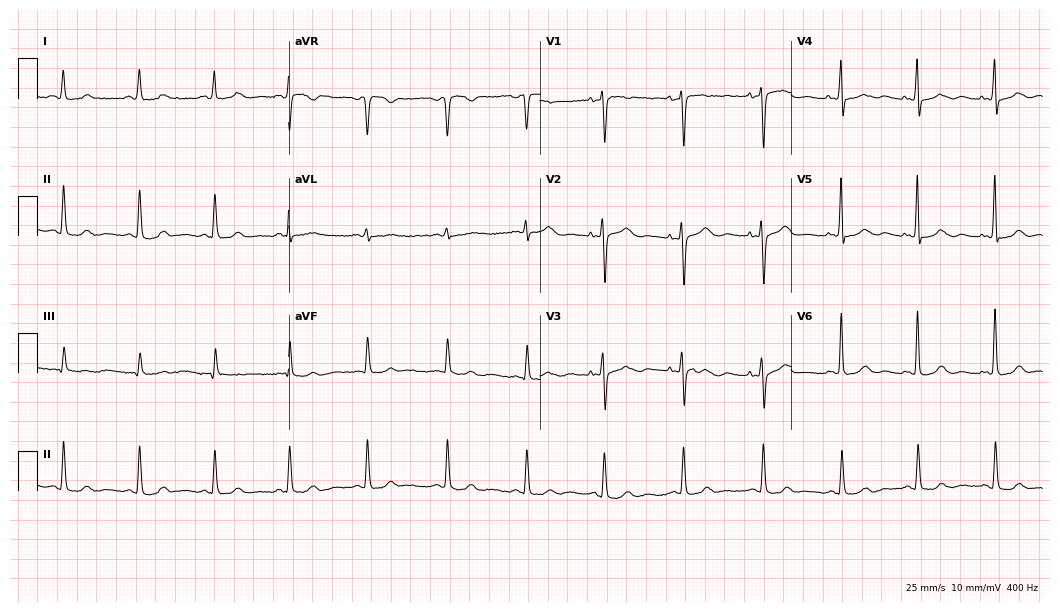
12-lead ECG from a 58-year-old woman. Recorded interpretation: within normal limits.